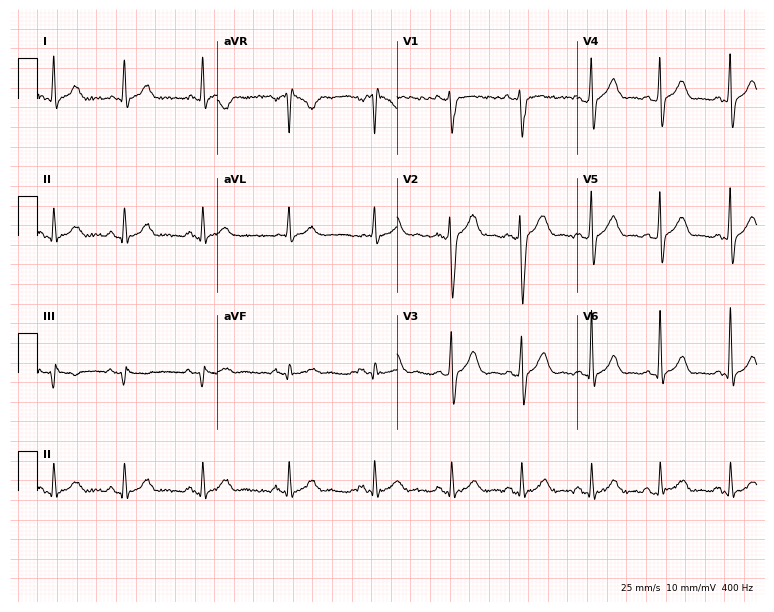
Resting 12-lead electrocardiogram (7.3-second recording at 400 Hz). Patient: a 26-year-old male. Read as a normal ECG.